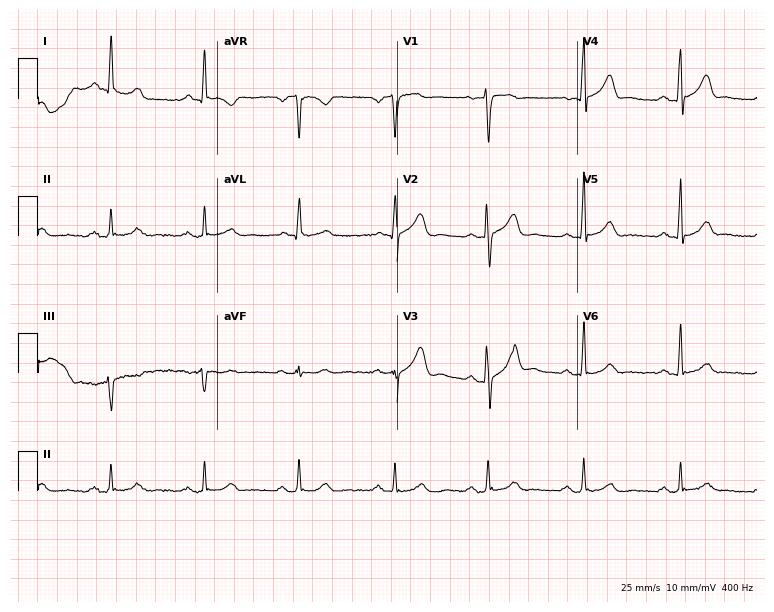
Electrocardiogram (7.3-second recording at 400 Hz), a woman, 53 years old. Overall reading on record: normal ECG.